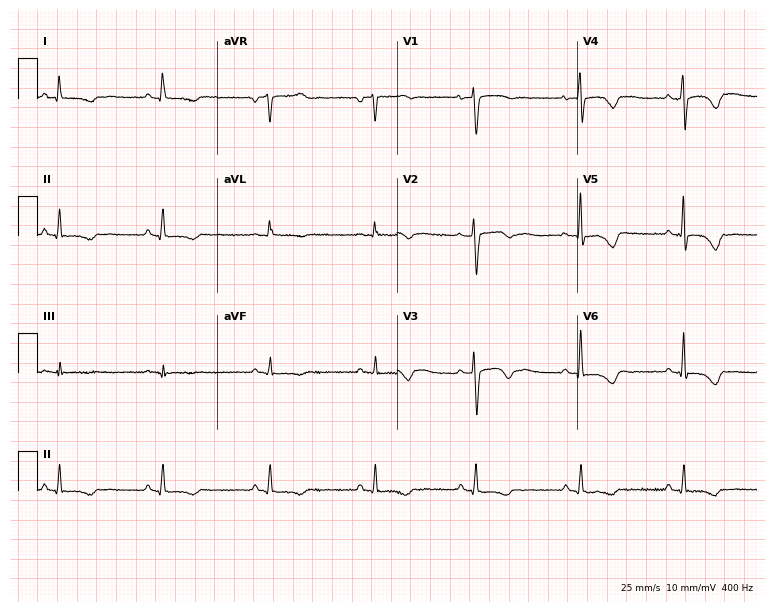
ECG (7.3-second recording at 400 Hz) — a 52-year-old female. Screened for six findings — first-degree AV block, right bundle branch block (RBBB), left bundle branch block (LBBB), sinus bradycardia, atrial fibrillation (AF), sinus tachycardia — none is recorded. Only these six findings were labelled.